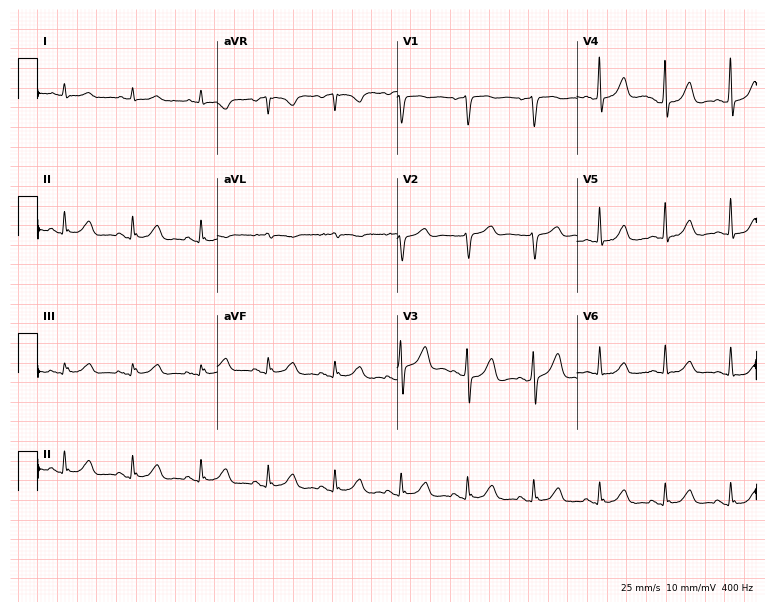
12-lead ECG from a female, 59 years old. No first-degree AV block, right bundle branch block, left bundle branch block, sinus bradycardia, atrial fibrillation or sinus tachycardia recorded for this tracing. Findings outside these six are not listed.